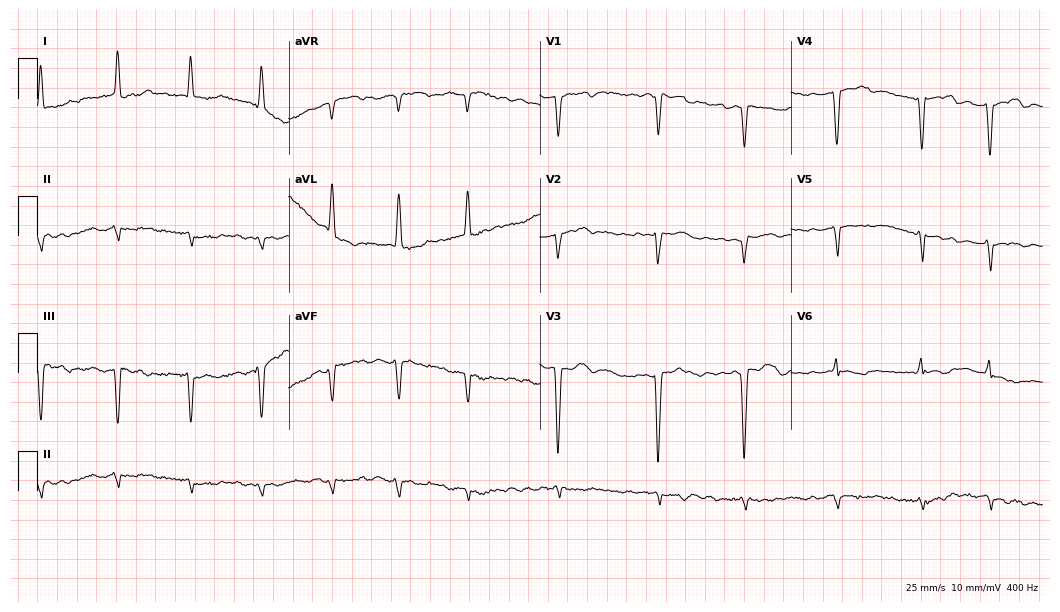
ECG (10.2-second recording at 400 Hz) — an 82-year-old female patient. Findings include atrial fibrillation.